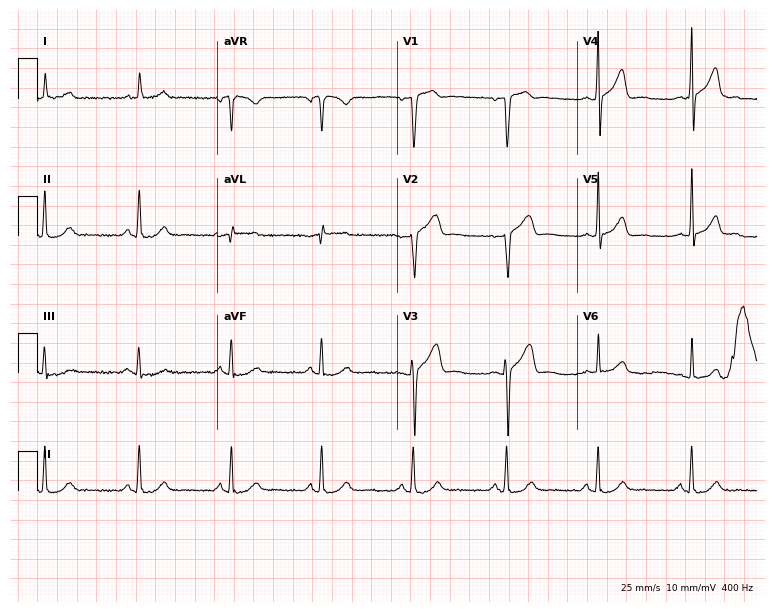
Standard 12-lead ECG recorded from a 72-year-old male (7.3-second recording at 400 Hz). Read as a normal ECG.